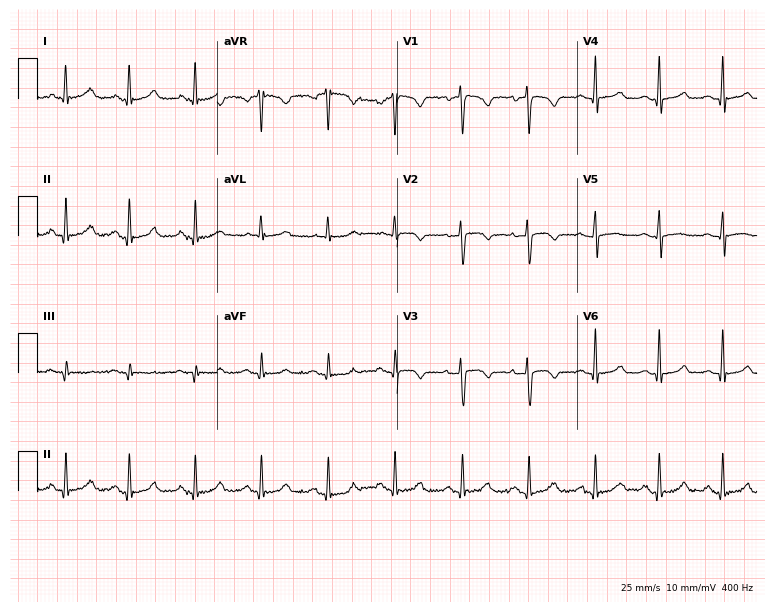
Resting 12-lead electrocardiogram. Patient: a 38-year-old female. Read as a normal ECG.